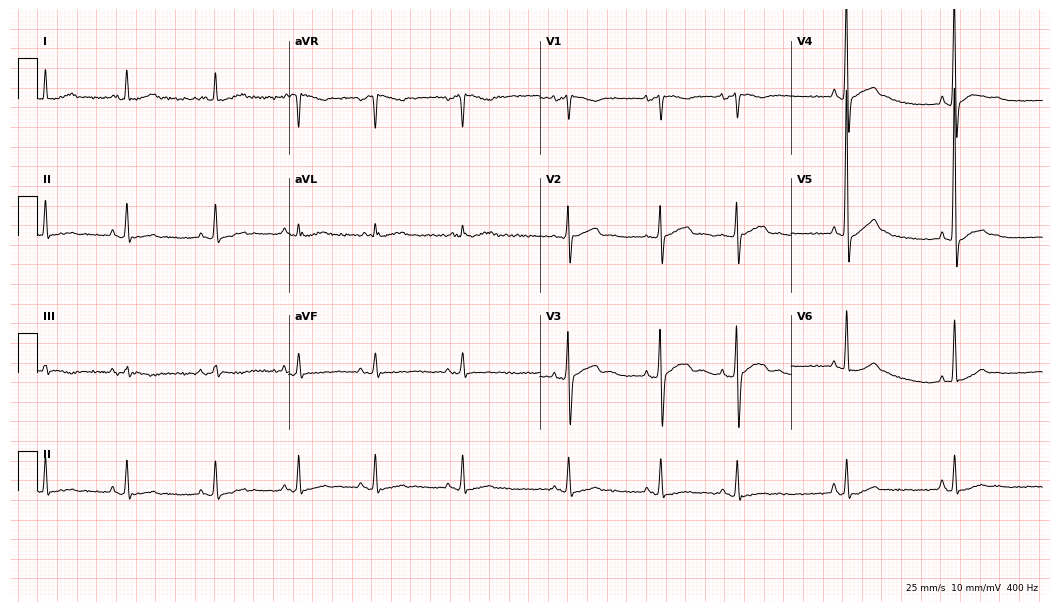
Electrocardiogram, a female patient, 75 years old. Of the six screened findings (first-degree AV block, right bundle branch block, left bundle branch block, sinus bradycardia, atrial fibrillation, sinus tachycardia), none is recorded. Only these six findings were labelled.